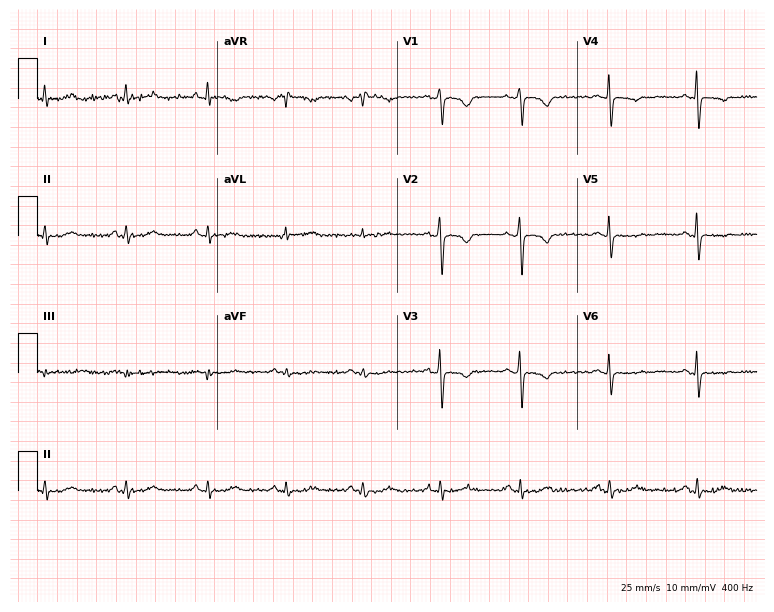
Electrocardiogram (7.3-second recording at 400 Hz), a female, 54 years old. Of the six screened findings (first-degree AV block, right bundle branch block, left bundle branch block, sinus bradycardia, atrial fibrillation, sinus tachycardia), none is recorded. Only these six findings were labelled.